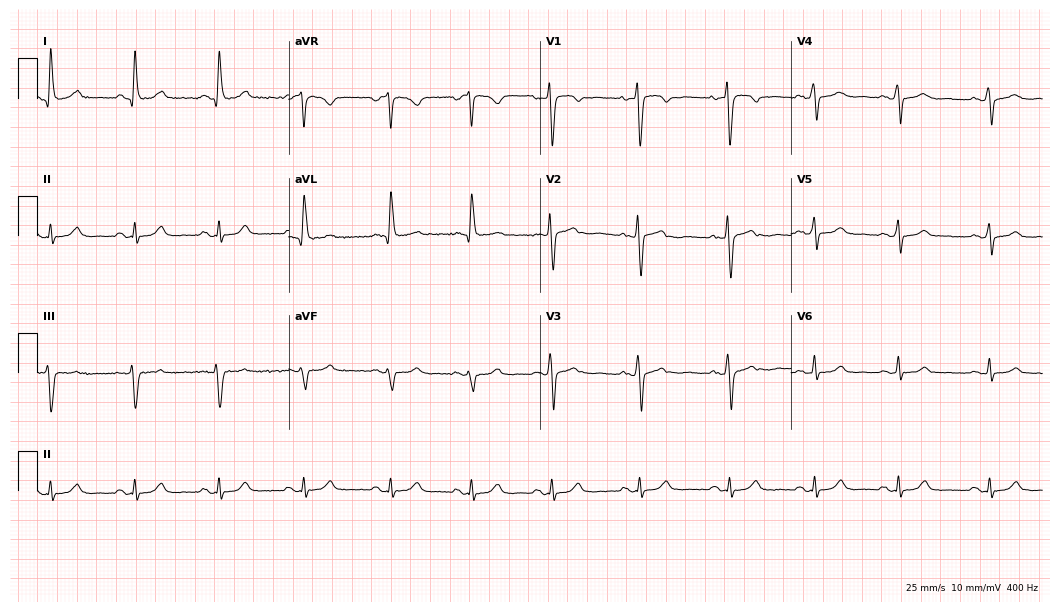
Resting 12-lead electrocardiogram (10.2-second recording at 400 Hz). Patient: a 43-year-old female. None of these six findings is recorded: first-degree AV block, right bundle branch block, left bundle branch block, sinus bradycardia, atrial fibrillation, sinus tachycardia.